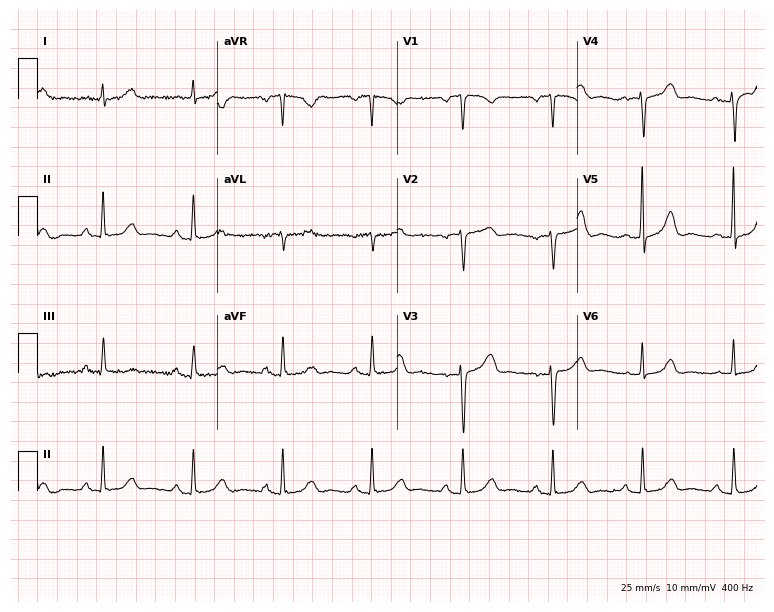
ECG (7.3-second recording at 400 Hz) — a female, 78 years old. Screened for six findings — first-degree AV block, right bundle branch block (RBBB), left bundle branch block (LBBB), sinus bradycardia, atrial fibrillation (AF), sinus tachycardia — none is recorded.